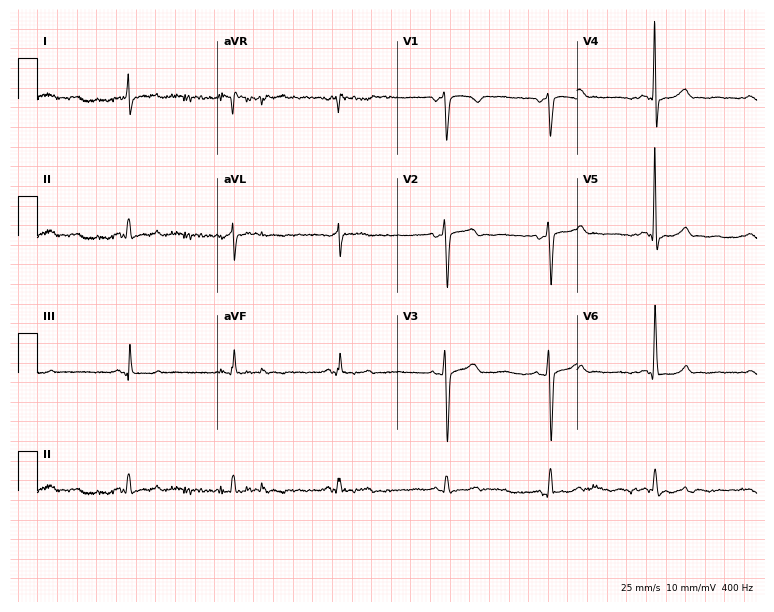
ECG — a female, 68 years old. Screened for six findings — first-degree AV block, right bundle branch block, left bundle branch block, sinus bradycardia, atrial fibrillation, sinus tachycardia — none is recorded.